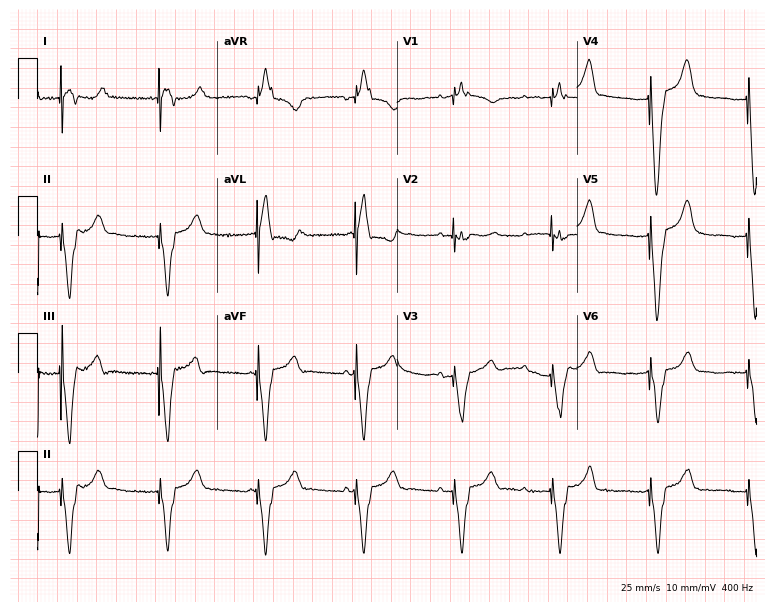
Standard 12-lead ECG recorded from a woman, 58 years old (7.3-second recording at 400 Hz). None of these six findings is recorded: first-degree AV block, right bundle branch block (RBBB), left bundle branch block (LBBB), sinus bradycardia, atrial fibrillation (AF), sinus tachycardia.